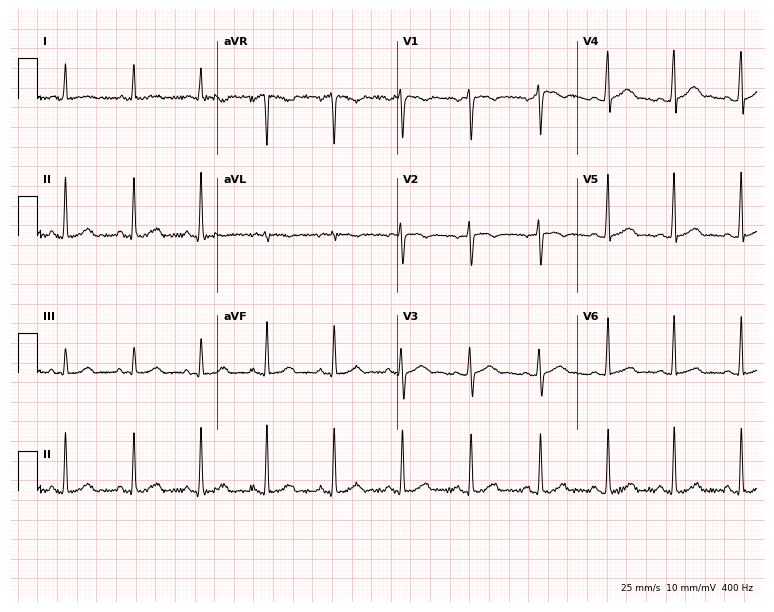
Electrocardiogram (7.3-second recording at 400 Hz), a 36-year-old woman. Of the six screened findings (first-degree AV block, right bundle branch block, left bundle branch block, sinus bradycardia, atrial fibrillation, sinus tachycardia), none is recorded. Other findings, if any, are not listed.